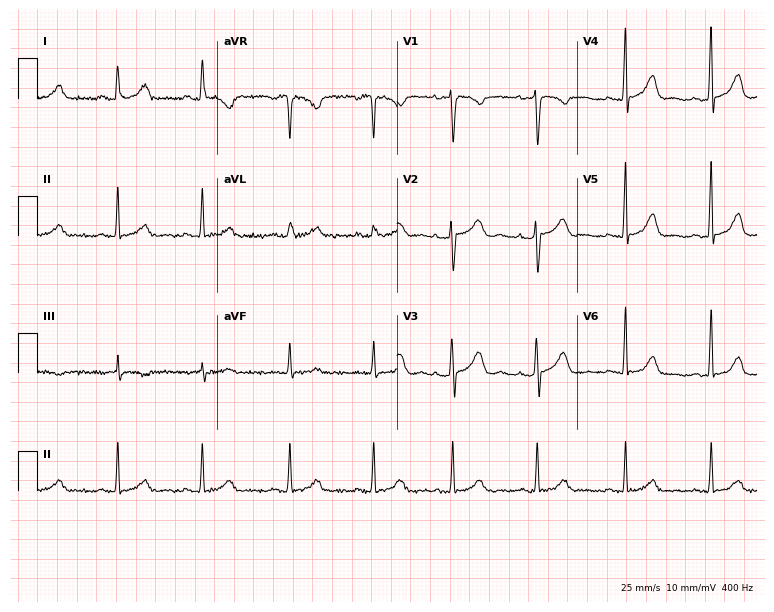
12-lead ECG from a woman, 33 years old. Labelled as a normal ECG.